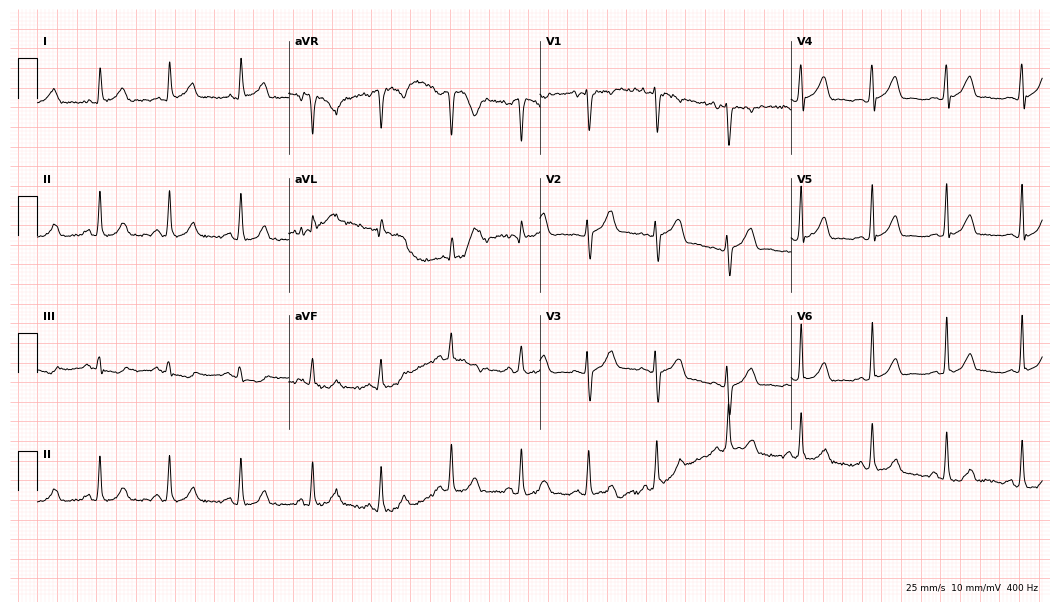
Electrocardiogram (10.2-second recording at 400 Hz), a 21-year-old female. Of the six screened findings (first-degree AV block, right bundle branch block, left bundle branch block, sinus bradycardia, atrial fibrillation, sinus tachycardia), none is recorded. Only these six findings were labelled.